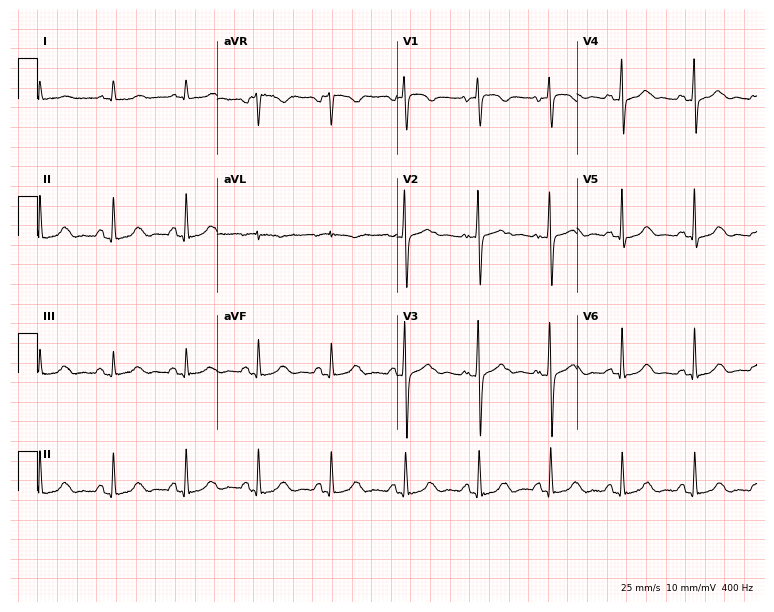
Electrocardiogram, a female, 71 years old. Of the six screened findings (first-degree AV block, right bundle branch block, left bundle branch block, sinus bradycardia, atrial fibrillation, sinus tachycardia), none is recorded. Other findings, if any, are not listed.